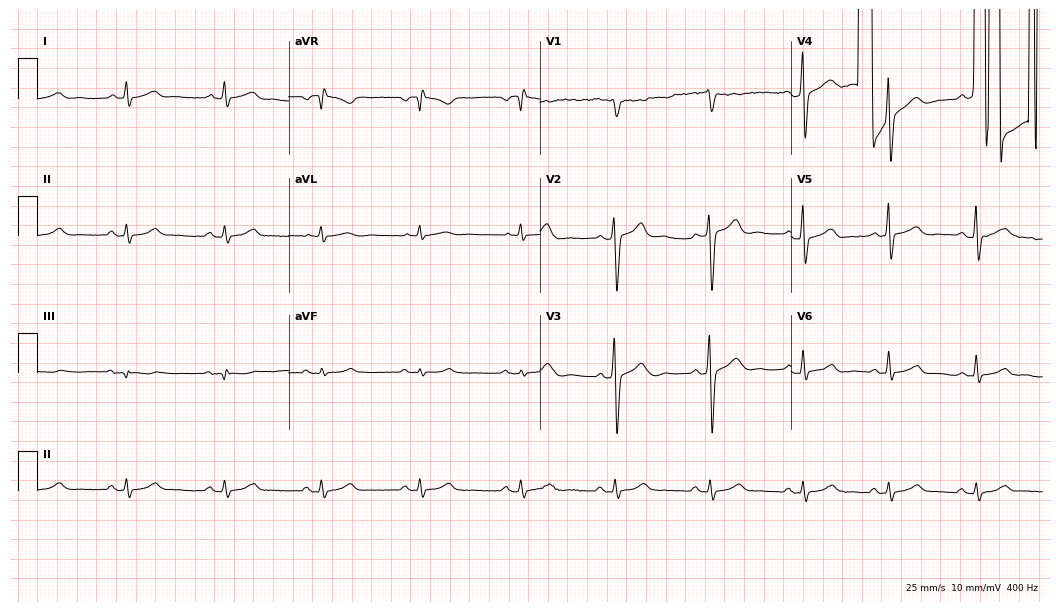
12-lead ECG from a man, 56 years old. Screened for six findings — first-degree AV block, right bundle branch block, left bundle branch block, sinus bradycardia, atrial fibrillation, sinus tachycardia — none is recorded.